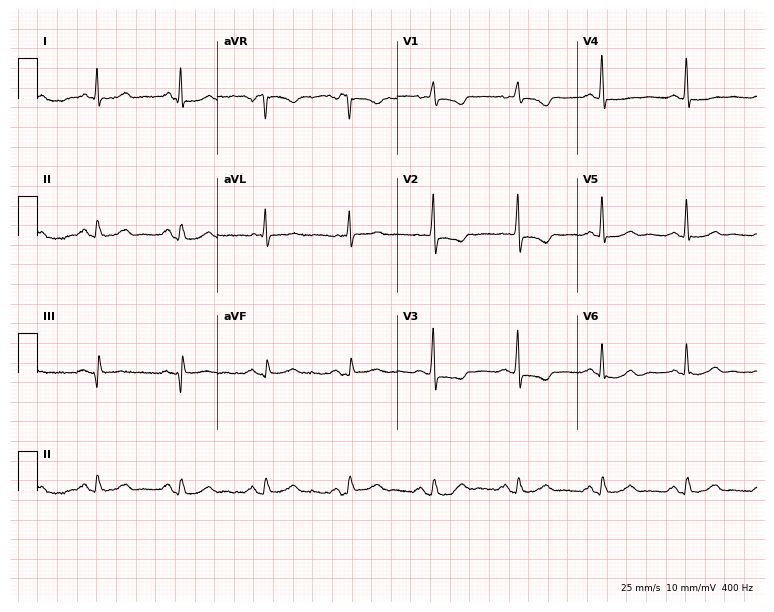
ECG (7.3-second recording at 400 Hz) — a 71-year-old woman. Screened for six findings — first-degree AV block, right bundle branch block, left bundle branch block, sinus bradycardia, atrial fibrillation, sinus tachycardia — none is recorded. Only these six findings were labelled.